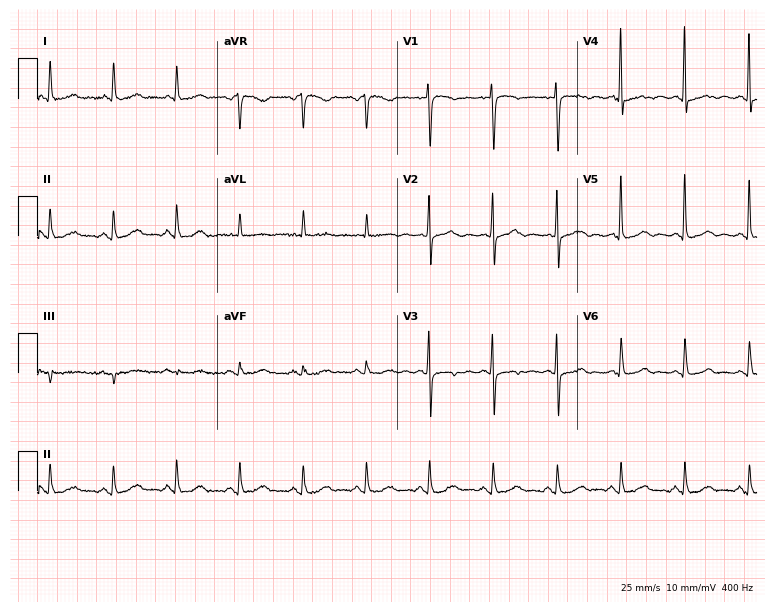
12-lead ECG (7.3-second recording at 400 Hz) from a female, 66 years old. Screened for six findings — first-degree AV block, right bundle branch block (RBBB), left bundle branch block (LBBB), sinus bradycardia, atrial fibrillation (AF), sinus tachycardia — none is recorded.